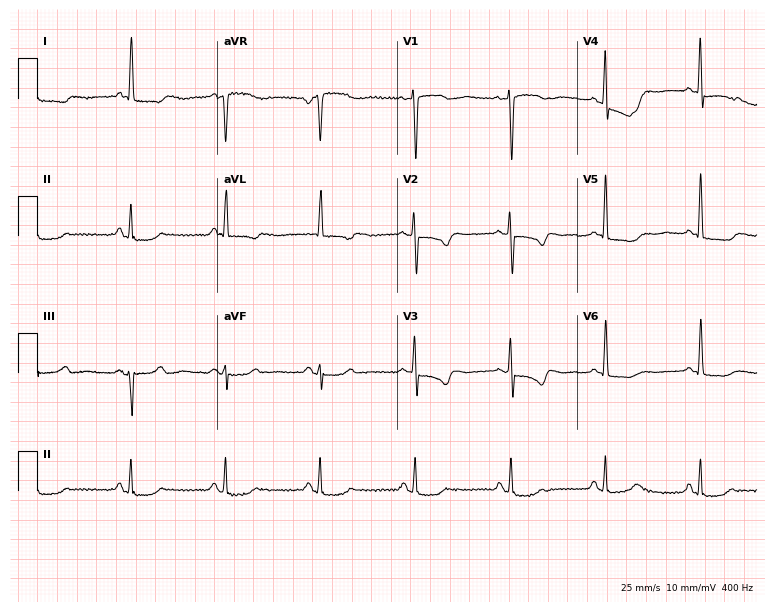
12-lead ECG from a 69-year-old female (7.3-second recording at 400 Hz). No first-degree AV block, right bundle branch block, left bundle branch block, sinus bradycardia, atrial fibrillation or sinus tachycardia recorded for this tracing.